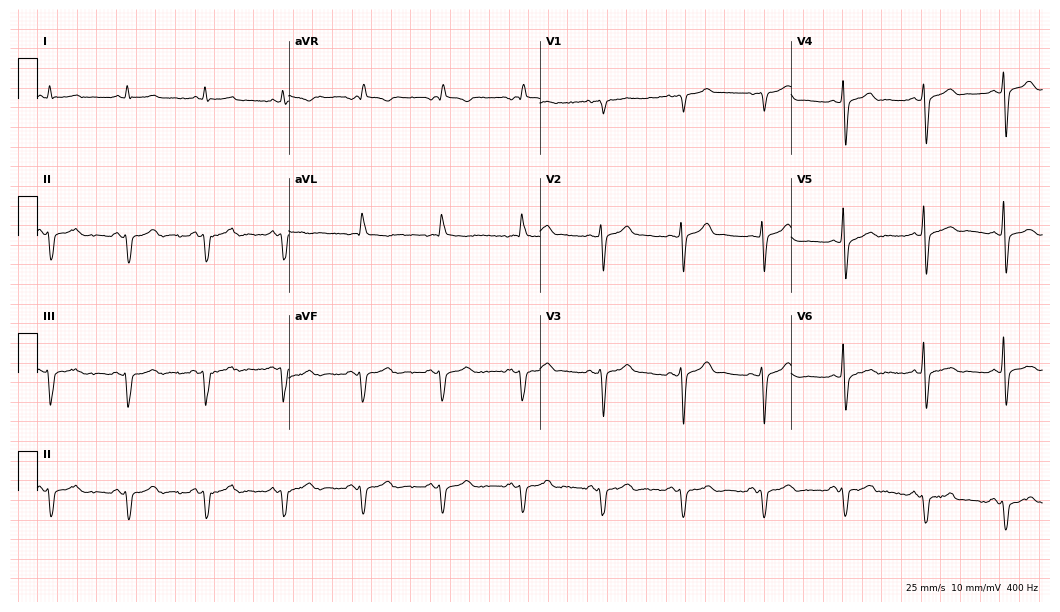
Resting 12-lead electrocardiogram. Patient: a 70-year-old male. None of these six findings is recorded: first-degree AV block, right bundle branch block (RBBB), left bundle branch block (LBBB), sinus bradycardia, atrial fibrillation (AF), sinus tachycardia.